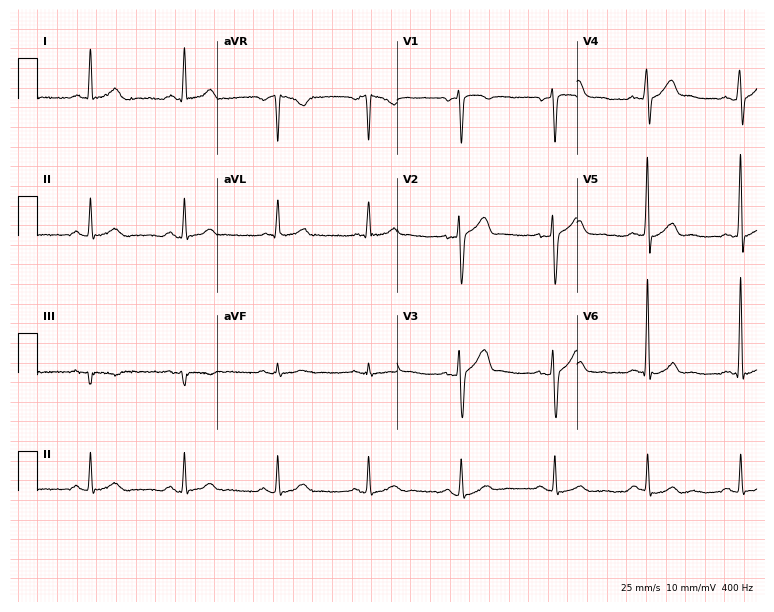
12-lead ECG from a 51-year-old male patient (7.3-second recording at 400 Hz). Recorded interpretation: within normal limits.